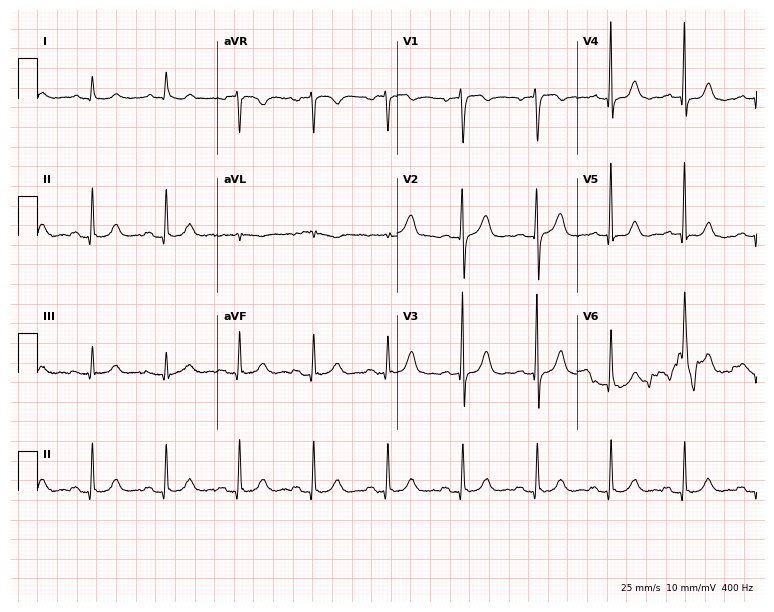
12-lead ECG from a 77-year-old male. Labelled as a normal ECG.